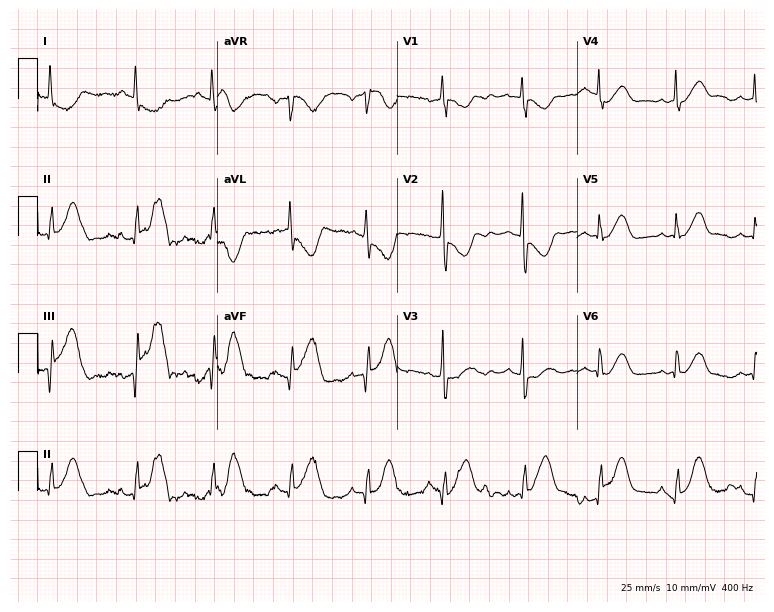
Standard 12-lead ECG recorded from a 72-year-old woman (7.3-second recording at 400 Hz). None of these six findings is recorded: first-degree AV block, right bundle branch block (RBBB), left bundle branch block (LBBB), sinus bradycardia, atrial fibrillation (AF), sinus tachycardia.